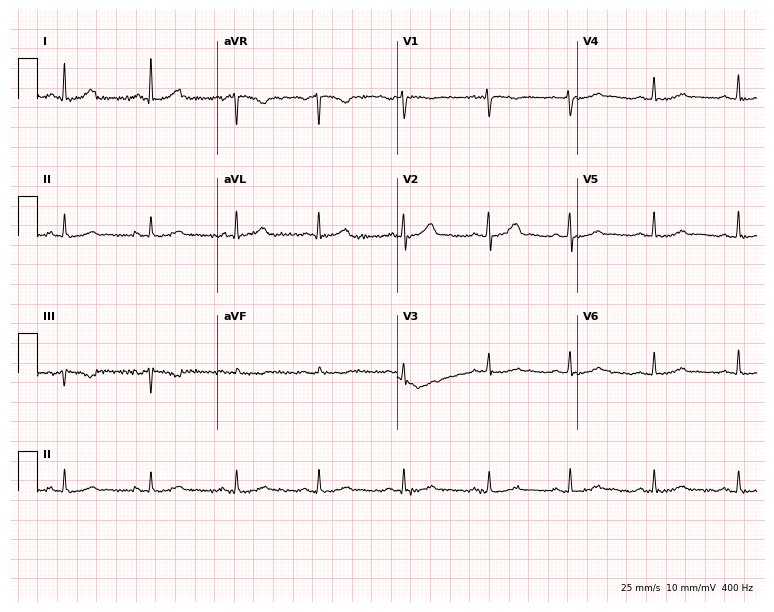
12-lead ECG from a woman, 47 years old. No first-degree AV block, right bundle branch block (RBBB), left bundle branch block (LBBB), sinus bradycardia, atrial fibrillation (AF) or sinus tachycardia recorded for this tracing. Only these six findings were labelled.